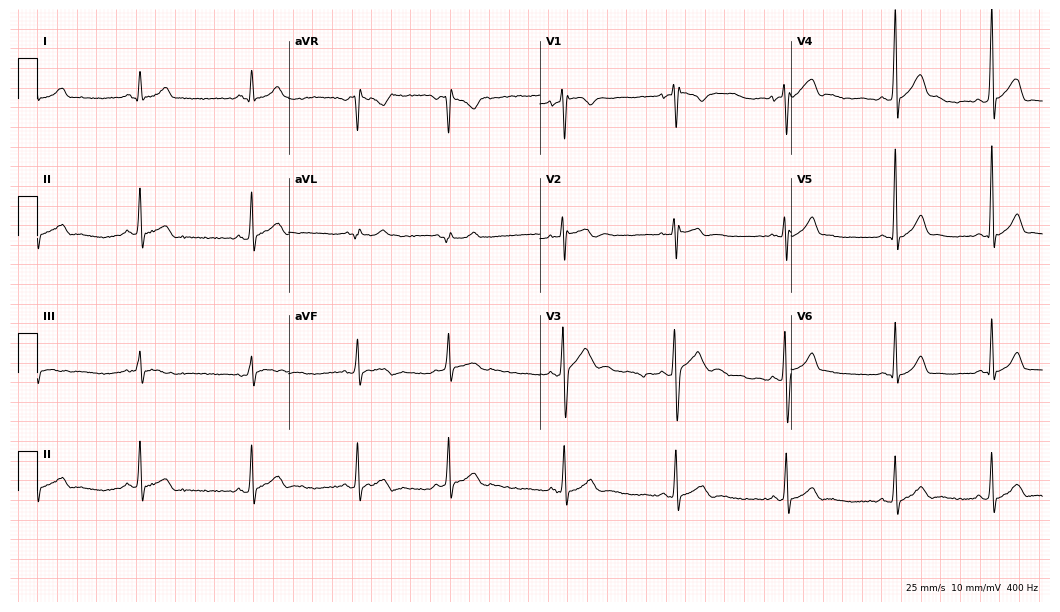
12-lead ECG from a 25-year-old man (10.2-second recording at 400 Hz). Recorded interpretation: within normal limits.